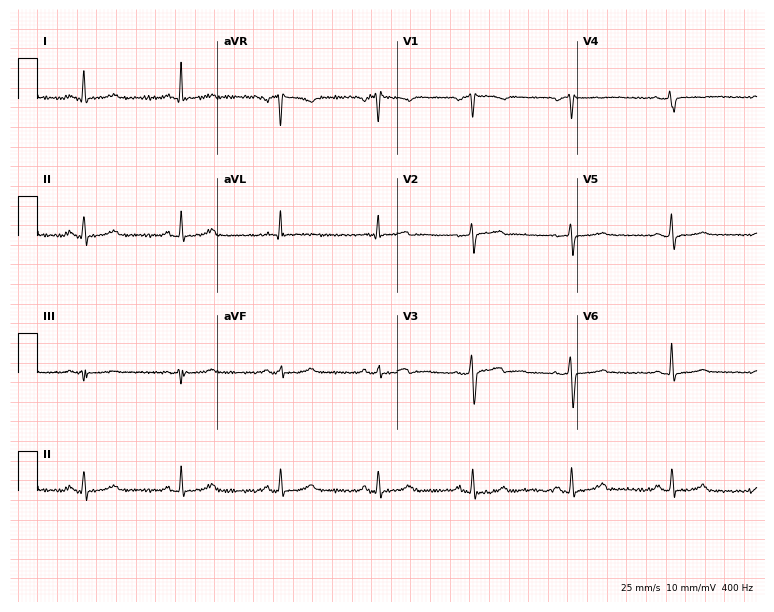
ECG — a 37-year-old female. Labelled as a normal ECG.